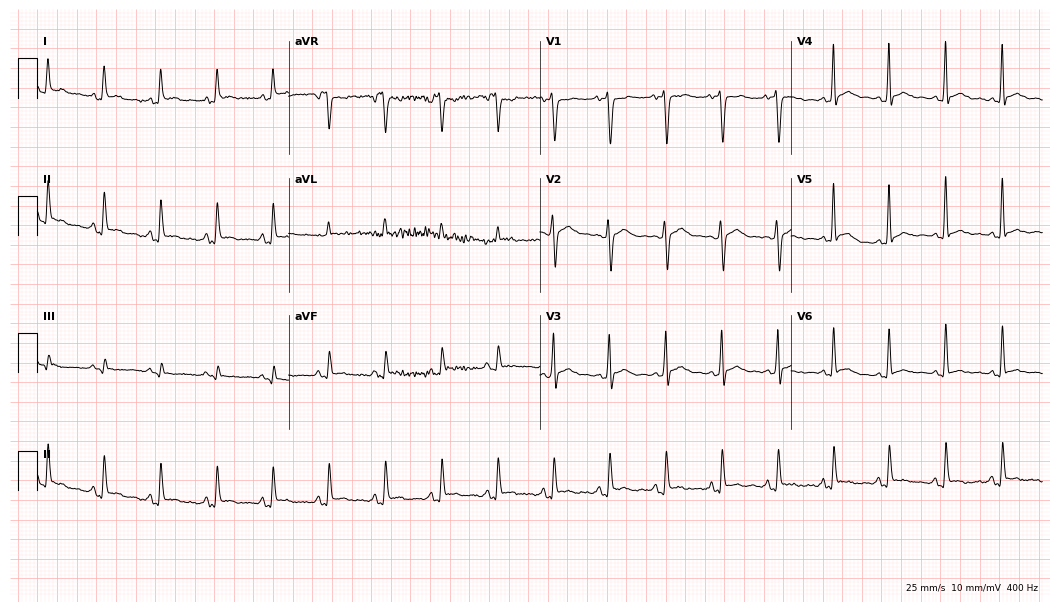
Standard 12-lead ECG recorded from a man, 21 years old (10.2-second recording at 400 Hz). Read as a normal ECG.